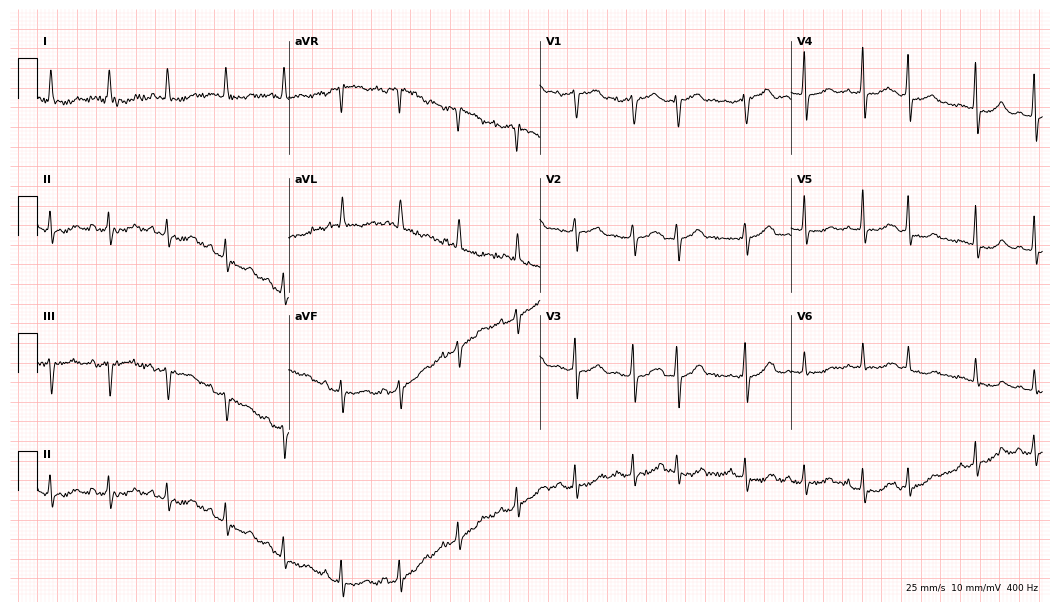
12-lead ECG from a woman, 76 years old (10.2-second recording at 400 Hz). No first-degree AV block, right bundle branch block, left bundle branch block, sinus bradycardia, atrial fibrillation or sinus tachycardia recorded for this tracing.